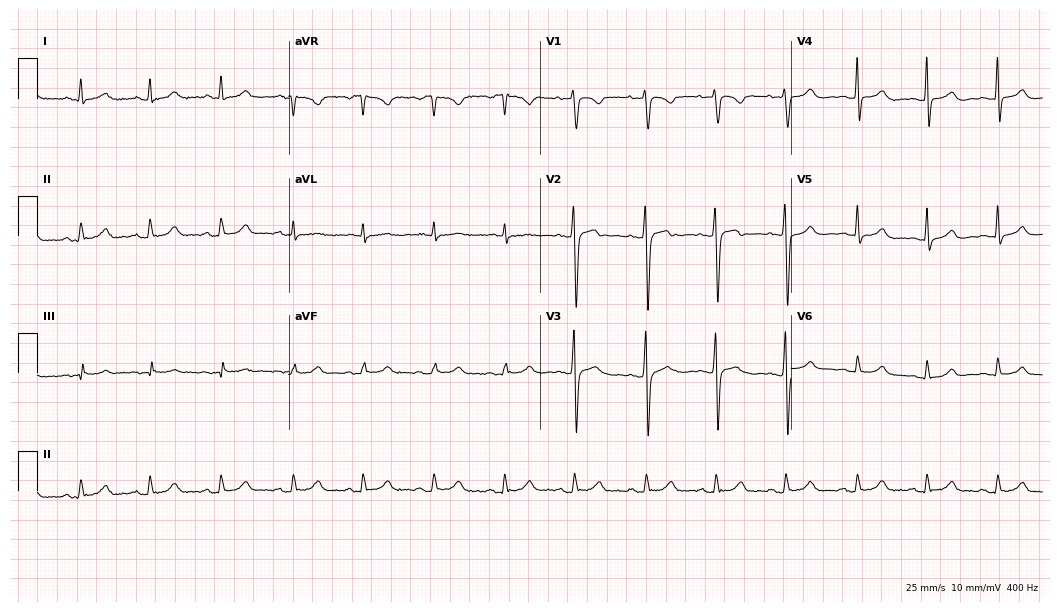
Electrocardiogram, a woman, 41 years old. Overall reading on record: normal ECG.